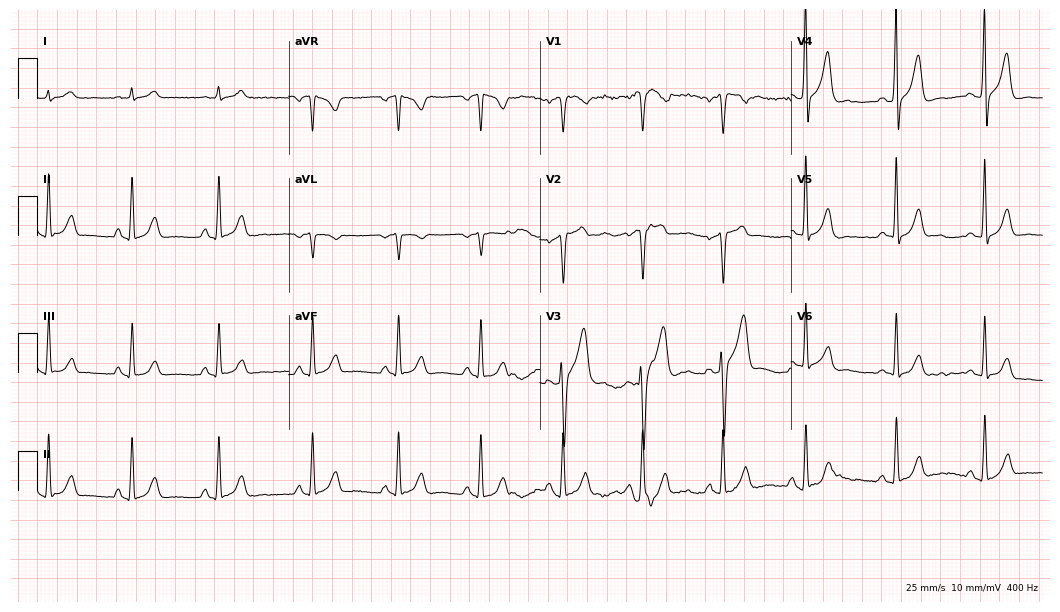
Resting 12-lead electrocardiogram. Patient: a 68-year-old man. Read as a normal ECG.